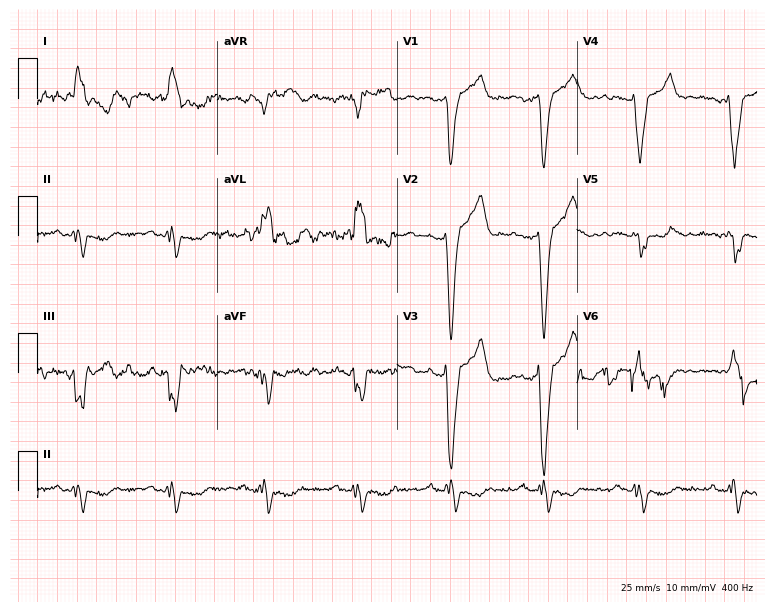
12-lead ECG from a woman, 84 years old (7.3-second recording at 400 Hz). No first-degree AV block, right bundle branch block, left bundle branch block, sinus bradycardia, atrial fibrillation or sinus tachycardia recorded for this tracing. Only these six findings were labelled.